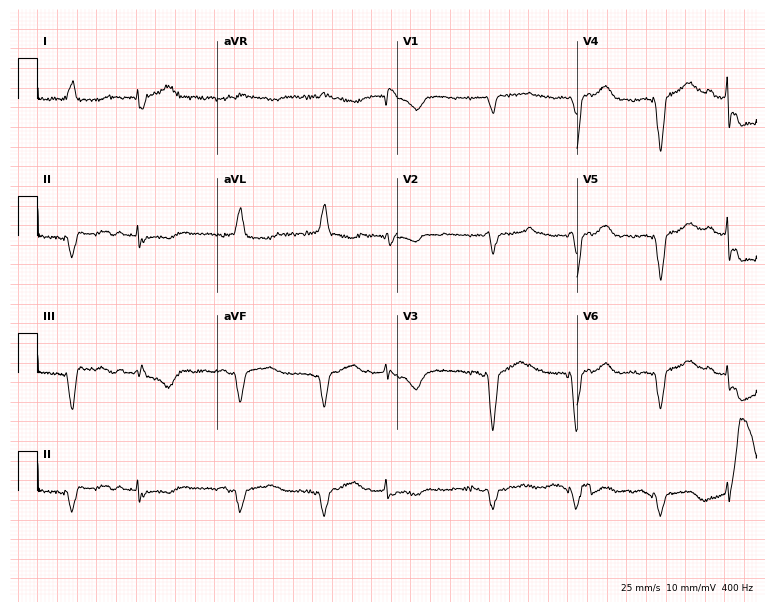
12-lead ECG from a female patient, 81 years old. No first-degree AV block, right bundle branch block, left bundle branch block, sinus bradycardia, atrial fibrillation or sinus tachycardia recorded for this tracing. Only these six findings were labelled.